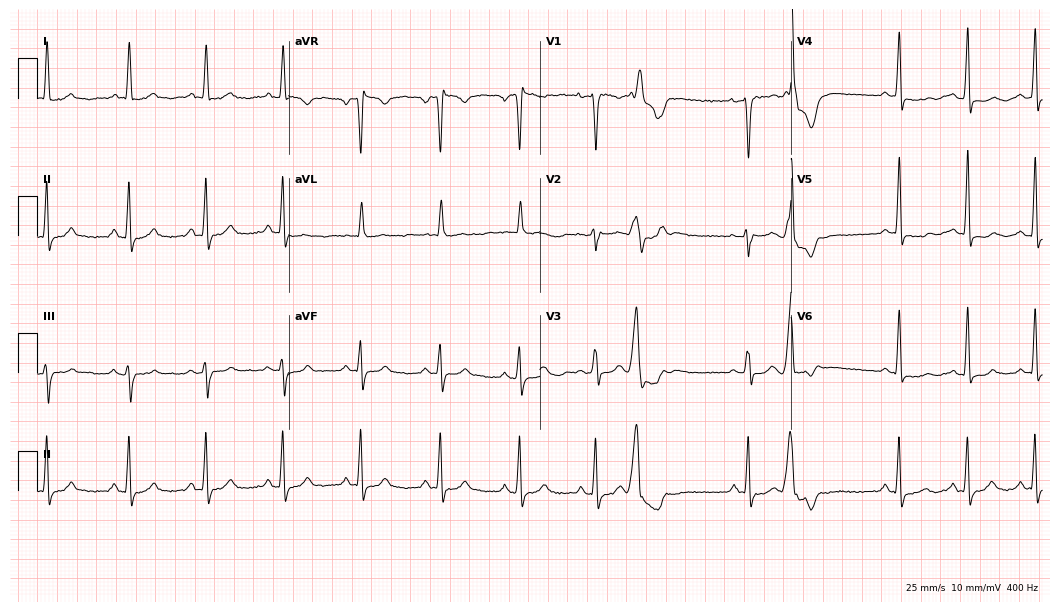
Electrocardiogram (10.2-second recording at 400 Hz), a woman, 41 years old. Of the six screened findings (first-degree AV block, right bundle branch block, left bundle branch block, sinus bradycardia, atrial fibrillation, sinus tachycardia), none is recorded. Findings outside these six are not listed.